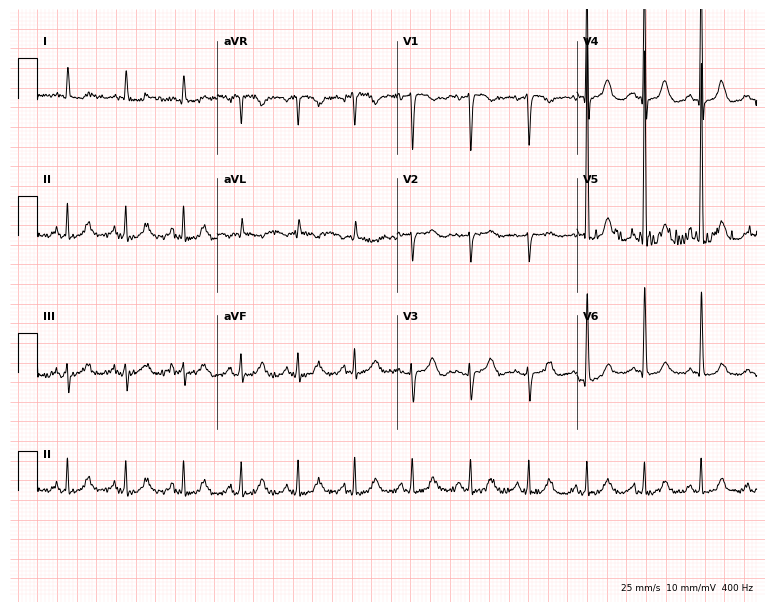
Standard 12-lead ECG recorded from a 77-year-old female patient. The tracing shows sinus tachycardia (a sinus rate of 100 beats per minute or more).